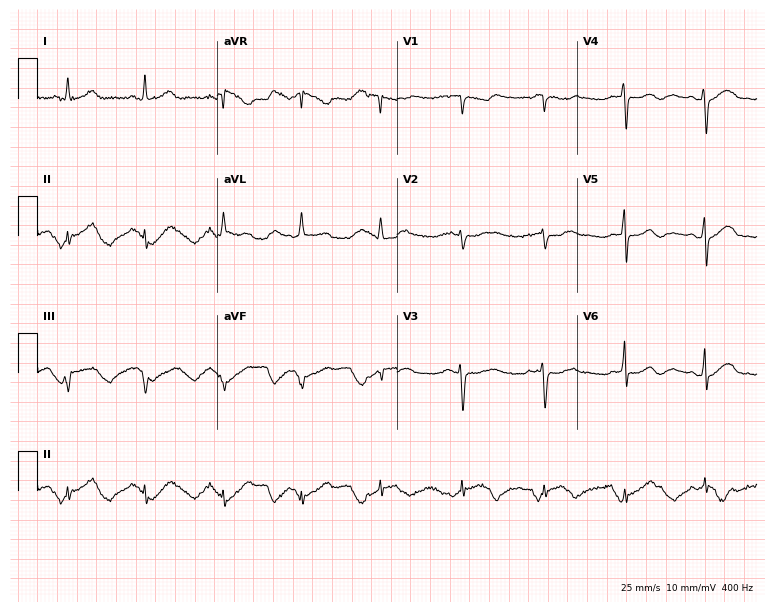
Resting 12-lead electrocardiogram (7.3-second recording at 400 Hz). Patient: a 45-year-old woman. None of these six findings is recorded: first-degree AV block, right bundle branch block, left bundle branch block, sinus bradycardia, atrial fibrillation, sinus tachycardia.